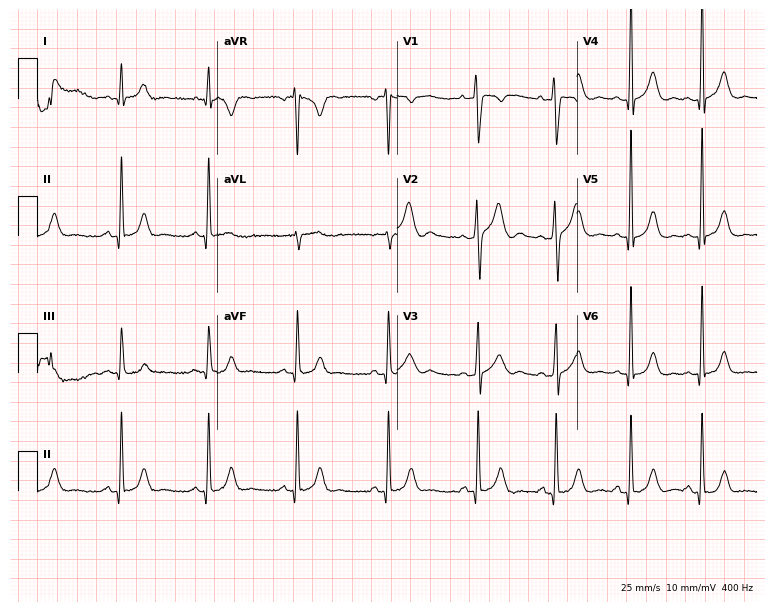
Electrocardiogram, a man, 26 years old. Of the six screened findings (first-degree AV block, right bundle branch block, left bundle branch block, sinus bradycardia, atrial fibrillation, sinus tachycardia), none is recorded. Only these six findings were labelled.